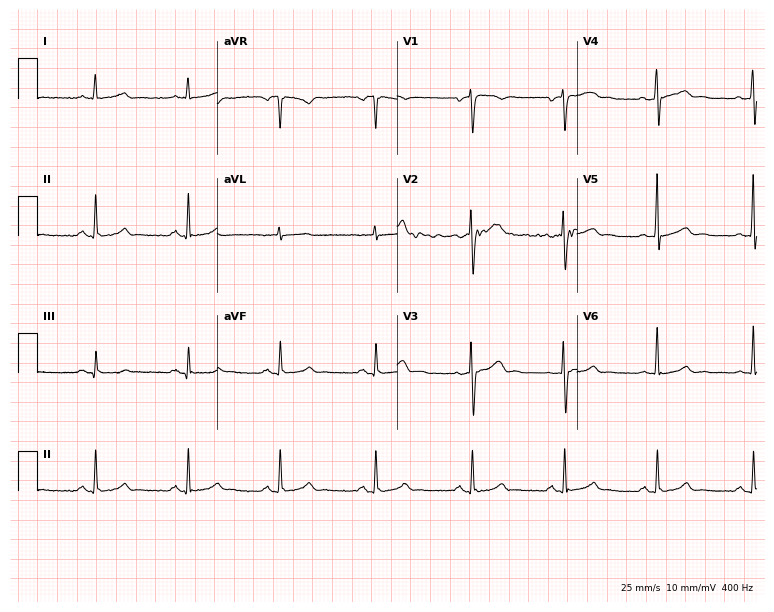
12-lead ECG from a 45-year-old man. Labelled as a normal ECG.